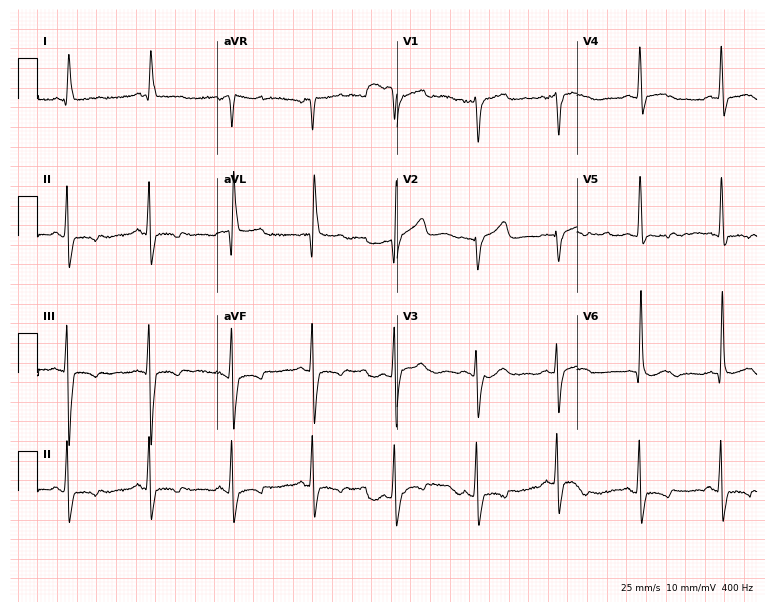
Standard 12-lead ECG recorded from a woman, 55 years old (7.3-second recording at 400 Hz). None of these six findings is recorded: first-degree AV block, right bundle branch block (RBBB), left bundle branch block (LBBB), sinus bradycardia, atrial fibrillation (AF), sinus tachycardia.